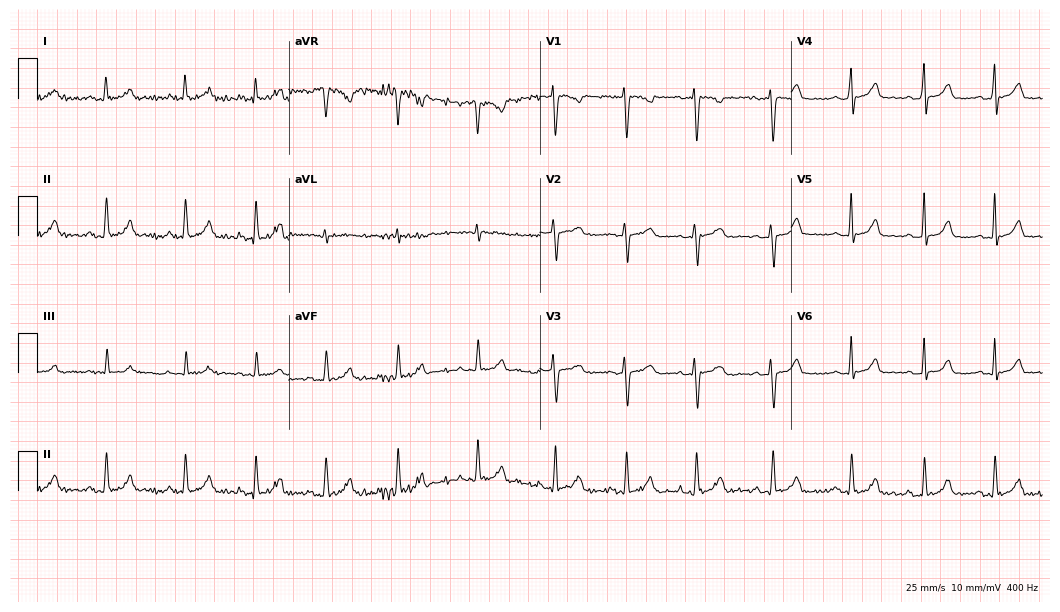
12-lead ECG from a woman, 21 years old. Labelled as a normal ECG.